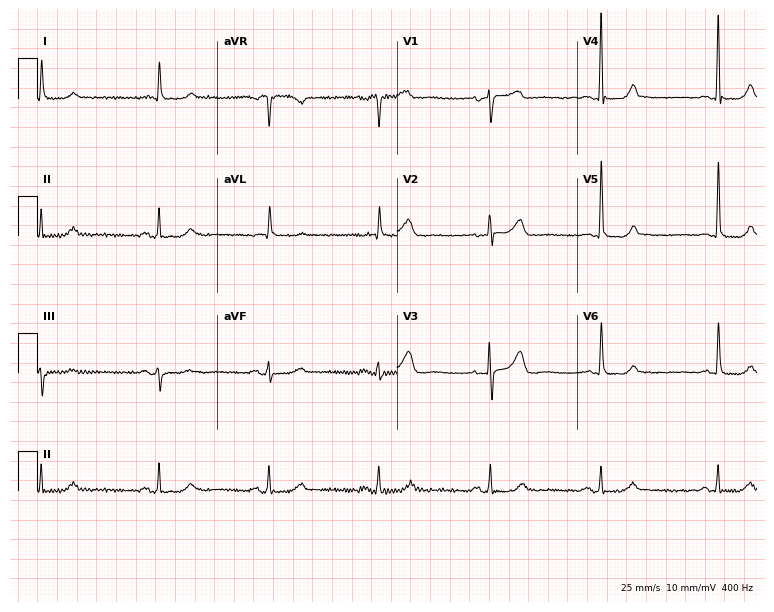
12-lead ECG (7.3-second recording at 400 Hz) from a female, 80 years old. Labelled as a normal ECG.